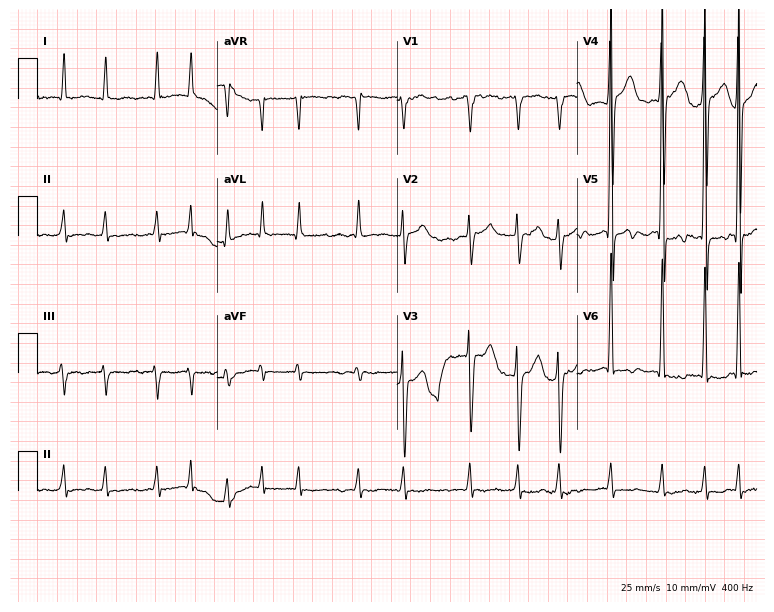
Resting 12-lead electrocardiogram (7.3-second recording at 400 Hz). Patient: a 77-year-old male. The tracing shows atrial fibrillation.